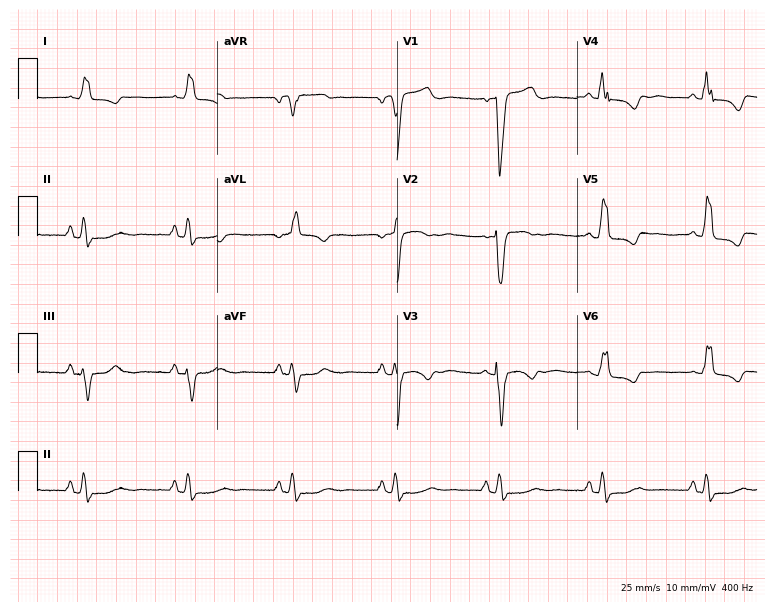
Electrocardiogram (7.3-second recording at 400 Hz), a 69-year-old woman. Interpretation includes left bundle branch block (LBBB).